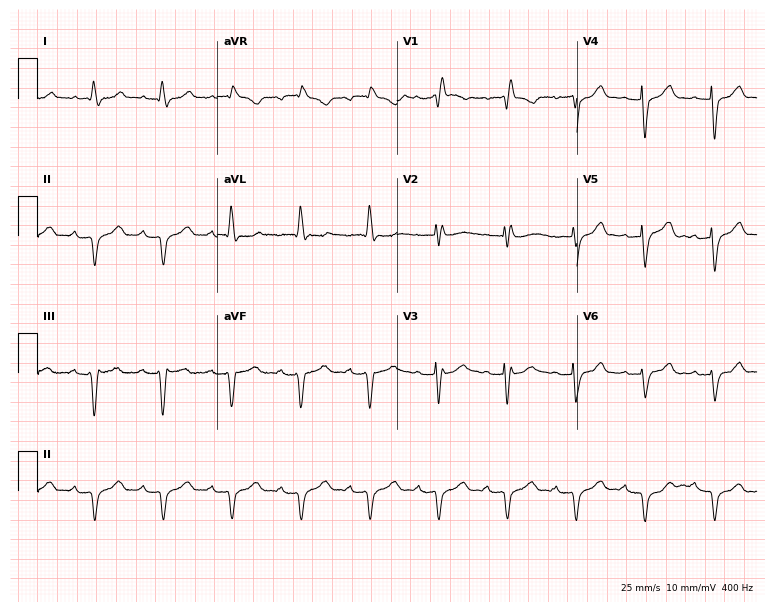
Resting 12-lead electrocardiogram. Patient: an 81-year-old man. The tracing shows right bundle branch block.